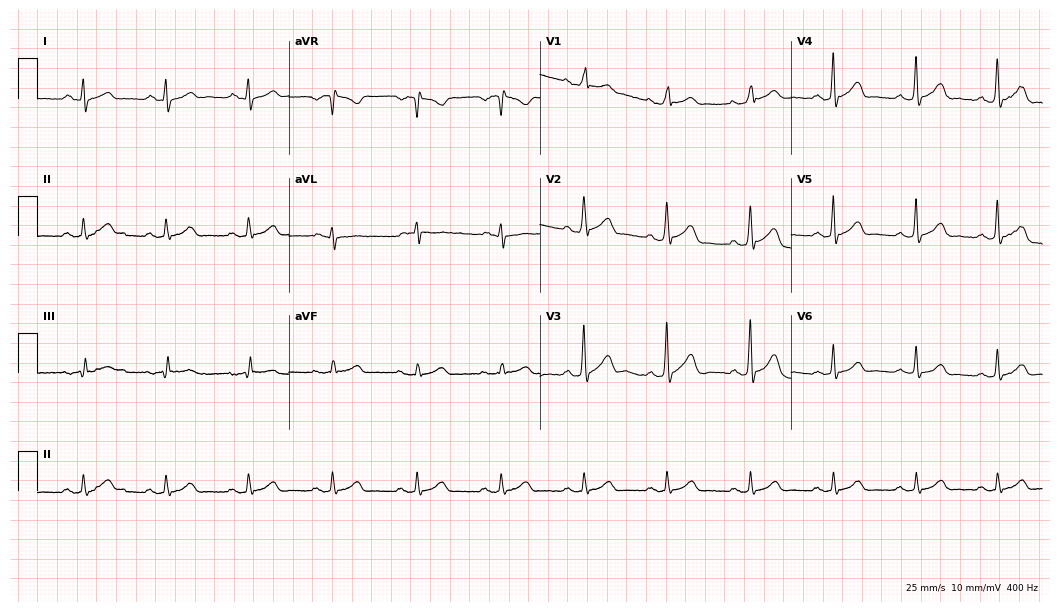
12-lead ECG from a 57-year-old male patient. No first-degree AV block, right bundle branch block (RBBB), left bundle branch block (LBBB), sinus bradycardia, atrial fibrillation (AF) or sinus tachycardia recorded for this tracing.